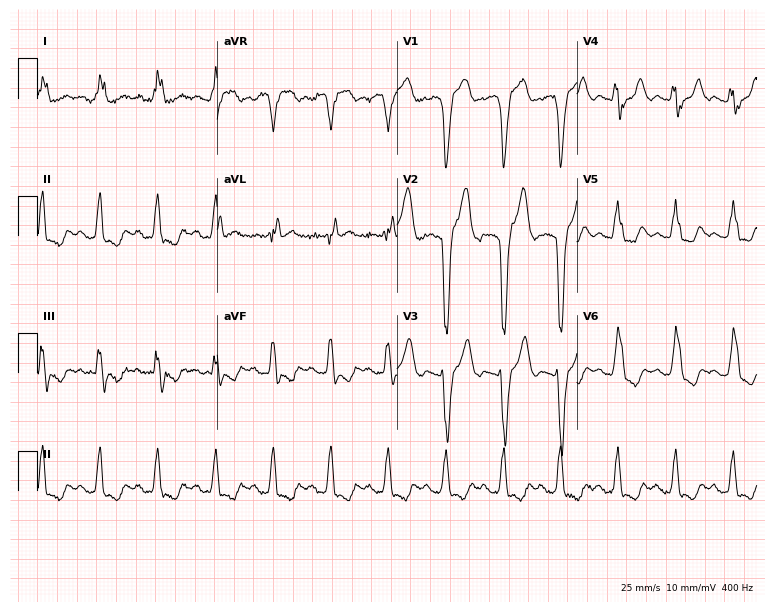
ECG — a woman, 81 years old. Findings include left bundle branch block, sinus tachycardia (a sinus rate of 100 beats per minute or more).